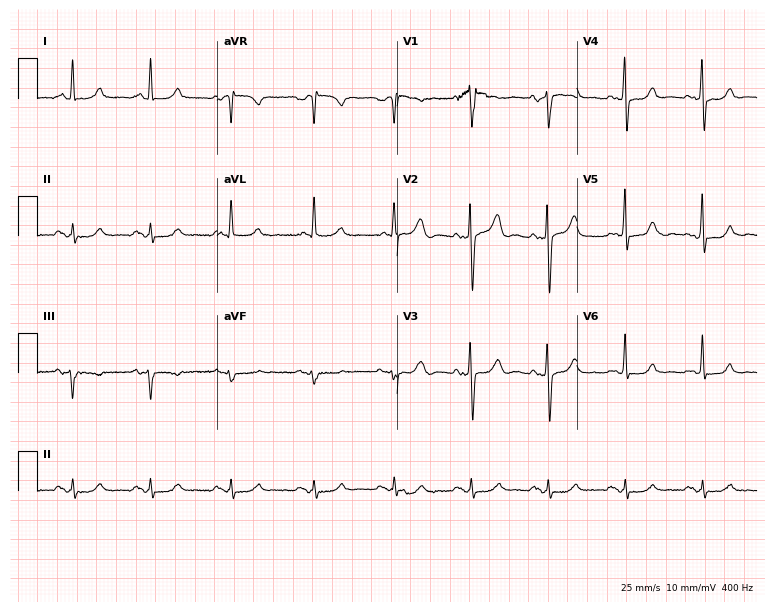
12-lead ECG from a male, 82 years old. Recorded interpretation: within normal limits.